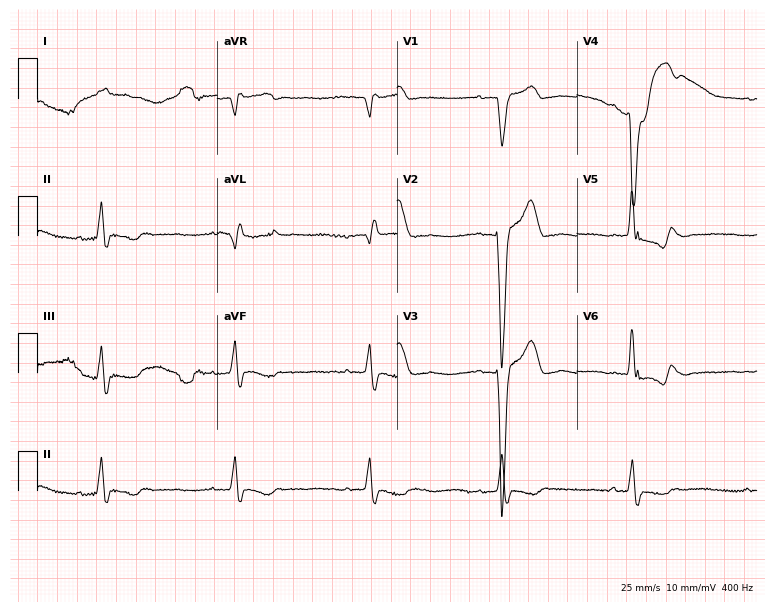
Resting 12-lead electrocardiogram (7.3-second recording at 400 Hz). Patient: a male, 84 years old. None of these six findings is recorded: first-degree AV block, right bundle branch block, left bundle branch block, sinus bradycardia, atrial fibrillation, sinus tachycardia. Other findings, if any, are not listed.